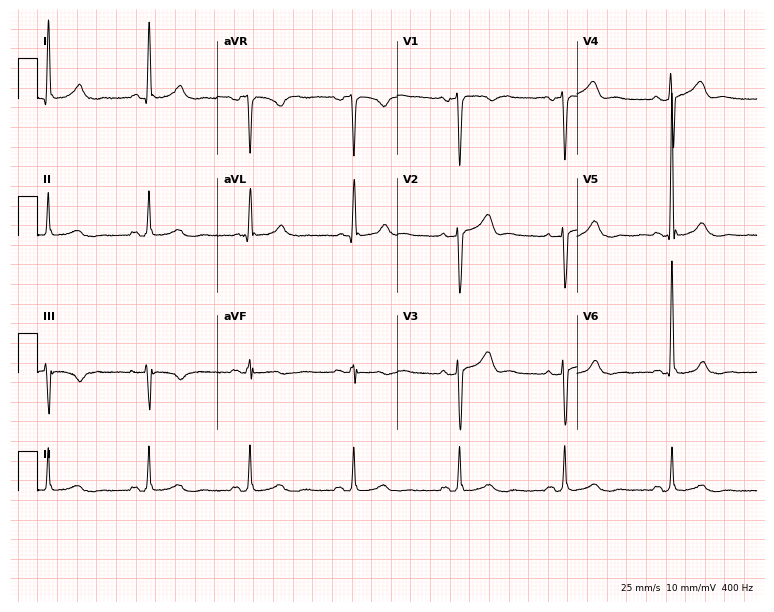
Standard 12-lead ECG recorded from a 59-year-old man (7.3-second recording at 400 Hz). None of these six findings is recorded: first-degree AV block, right bundle branch block (RBBB), left bundle branch block (LBBB), sinus bradycardia, atrial fibrillation (AF), sinus tachycardia.